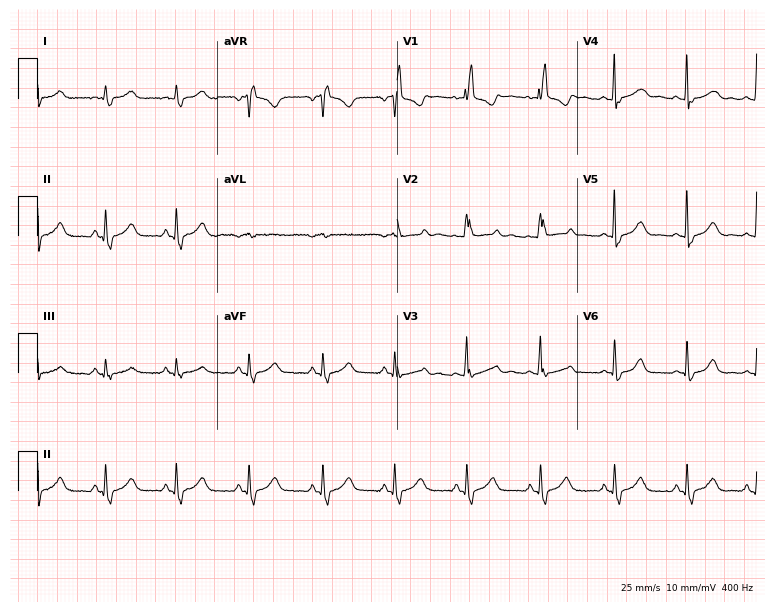
ECG — a 35-year-old woman. Screened for six findings — first-degree AV block, right bundle branch block (RBBB), left bundle branch block (LBBB), sinus bradycardia, atrial fibrillation (AF), sinus tachycardia — none is recorded. Other findings, if any, are not listed.